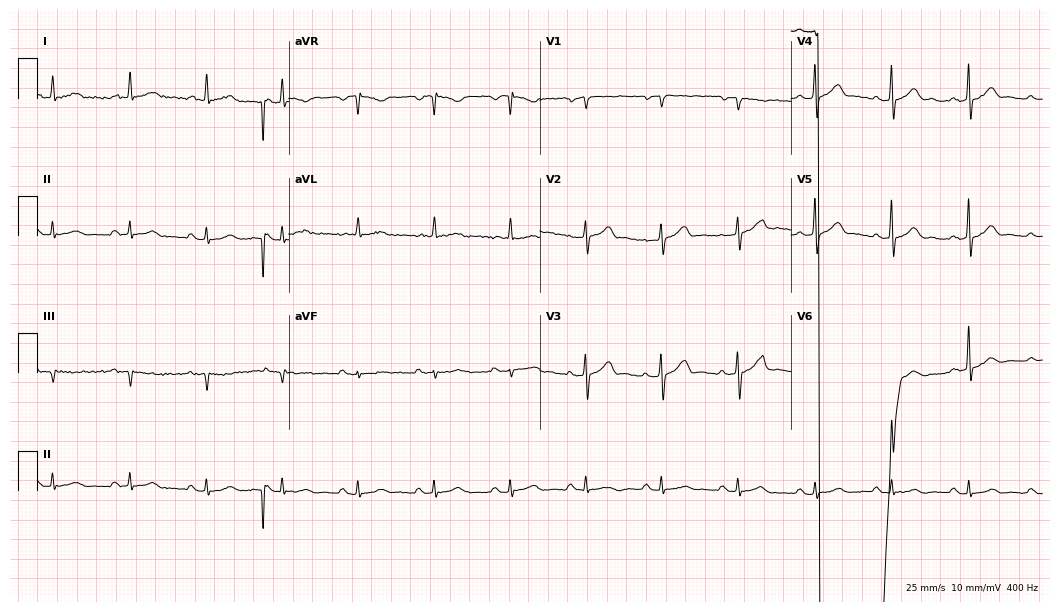
ECG (10.2-second recording at 400 Hz) — a 60-year-old male patient. Labelled as a normal ECG.